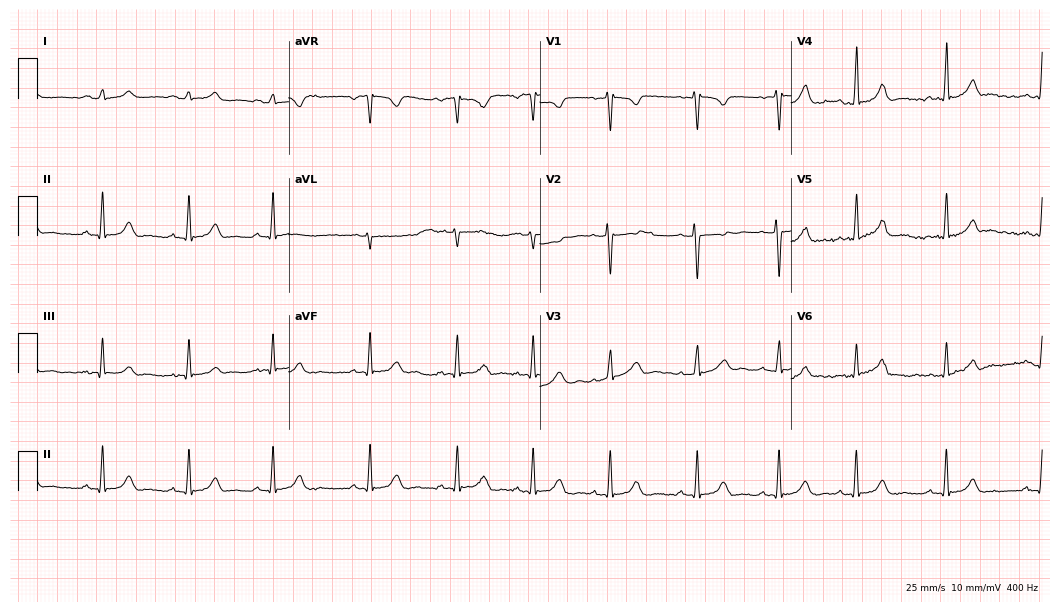
ECG — a woman, 21 years old. Labelled as a normal ECG.